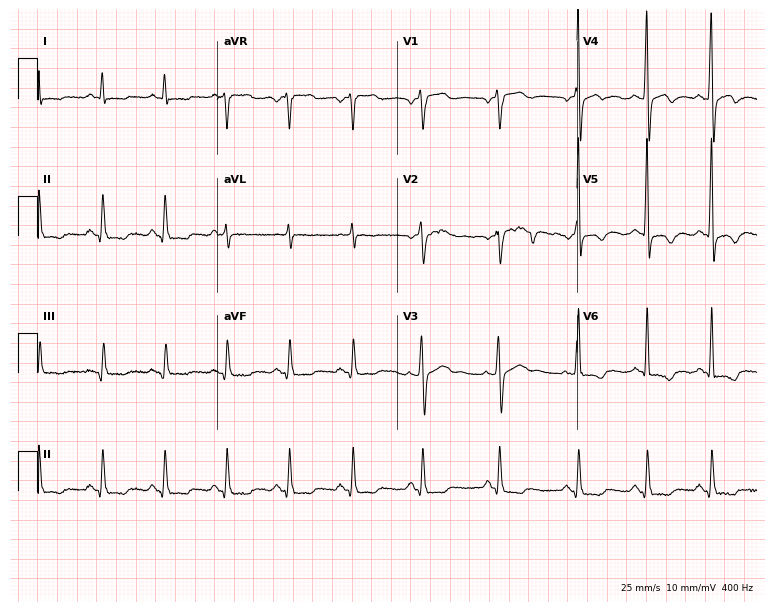
Standard 12-lead ECG recorded from a 60-year-old male patient (7.3-second recording at 400 Hz). None of these six findings is recorded: first-degree AV block, right bundle branch block (RBBB), left bundle branch block (LBBB), sinus bradycardia, atrial fibrillation (AF), sinus tachycardia. Other findings, if any, are not listed.